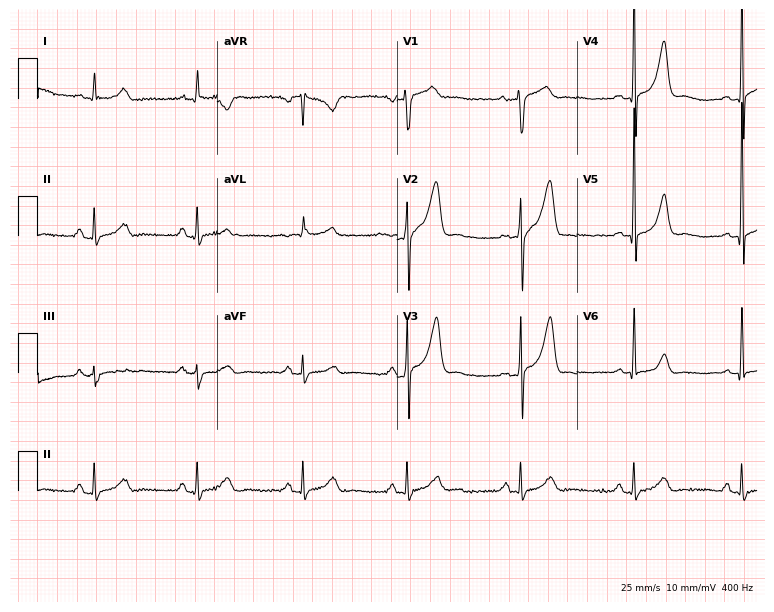
12-lead ECG from a 49-year-old male patient. Recorded interpretation: within normal limits.